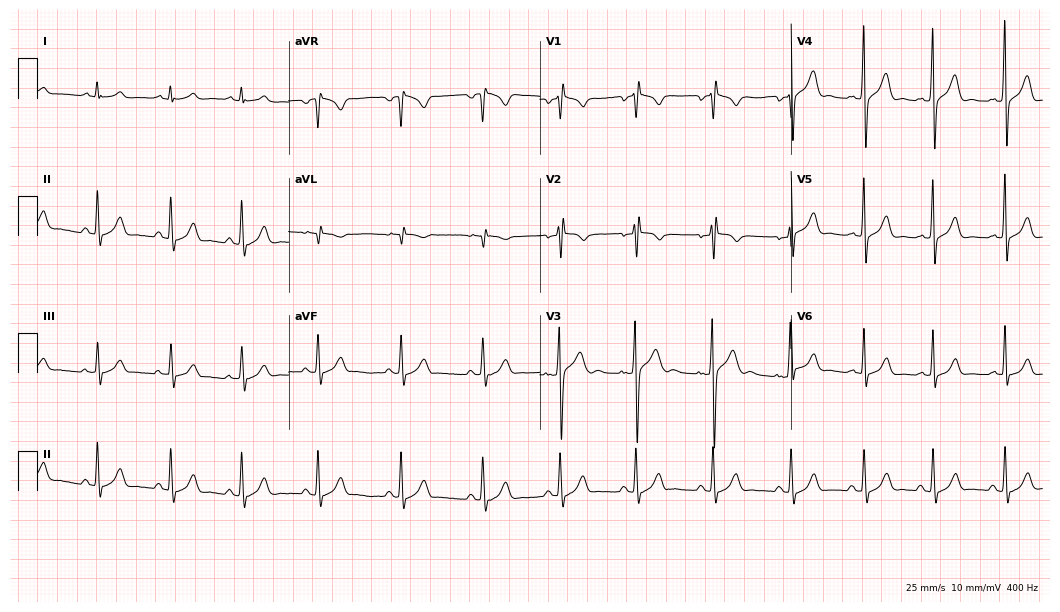
Electrocardiogram (10.2-second recording at 400 Hz), an 18-year-old man. Of the six screened findings (first-degree AV block, right bundle branch block (RBBB), left bundle branch block (LBBB), sinus bradycardia, atrial fibrillation (AF), sinus tachycardia), none is recorded. Only these six findings were labelled.